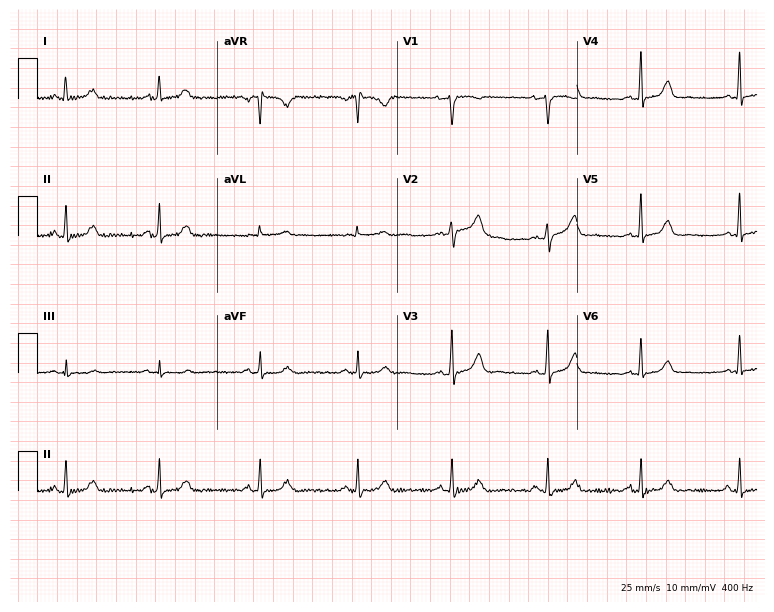
Standard 12-lead ECG recorded from a woman, 41 years old. Read as a normal ECG.